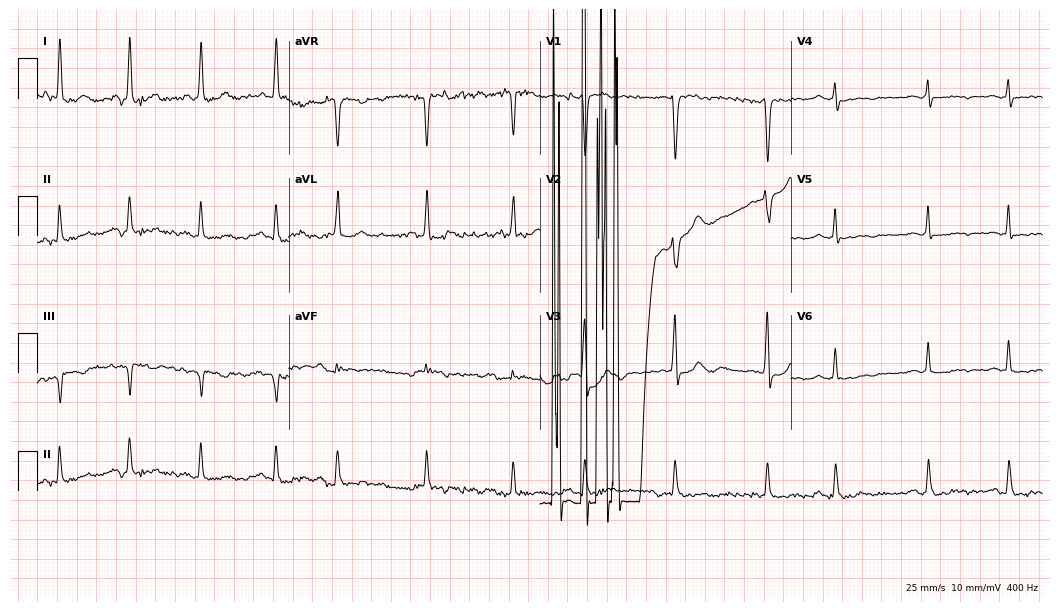
ECG (10.2-second recording at 400 Hz) — a female, 77 years old. Screened for six findings — first-degree AV block, right bundle branch block (RBBB), left bundle branch block (LBBB), sinus bradycardia, atrial fibrillation (AF), sinus tachycardia — none is recorded. Only these six findings were labelled.